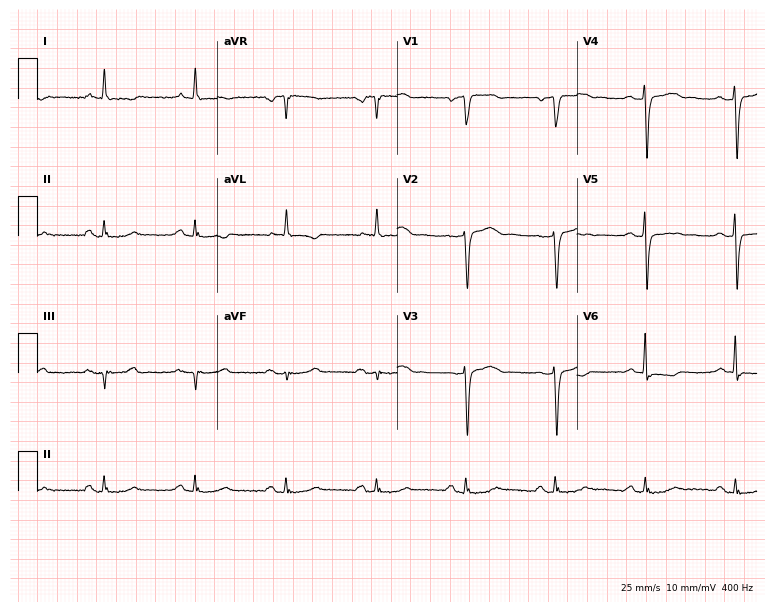
12-lead ECG (7.3-second recording at 400 Hz) from a 77-year-old male. Labelled as a normal ECG.